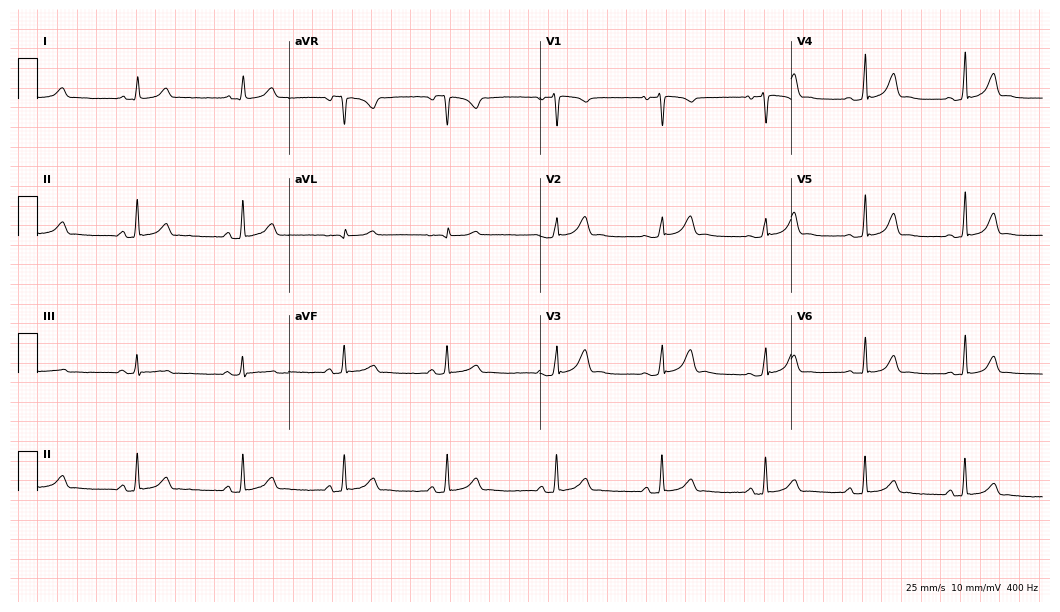
Electrocardiogram (10.2-second recording at 400 Hz), a female, 26 years old. Overall reading on record: normal ECG.